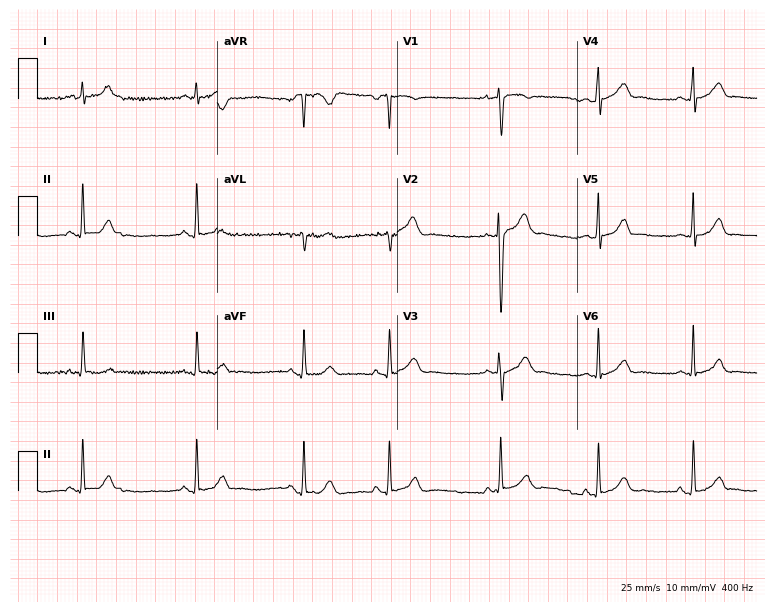
12-lead ECG from a 21-year-old woman. Recorded interpretation: within normal limits.